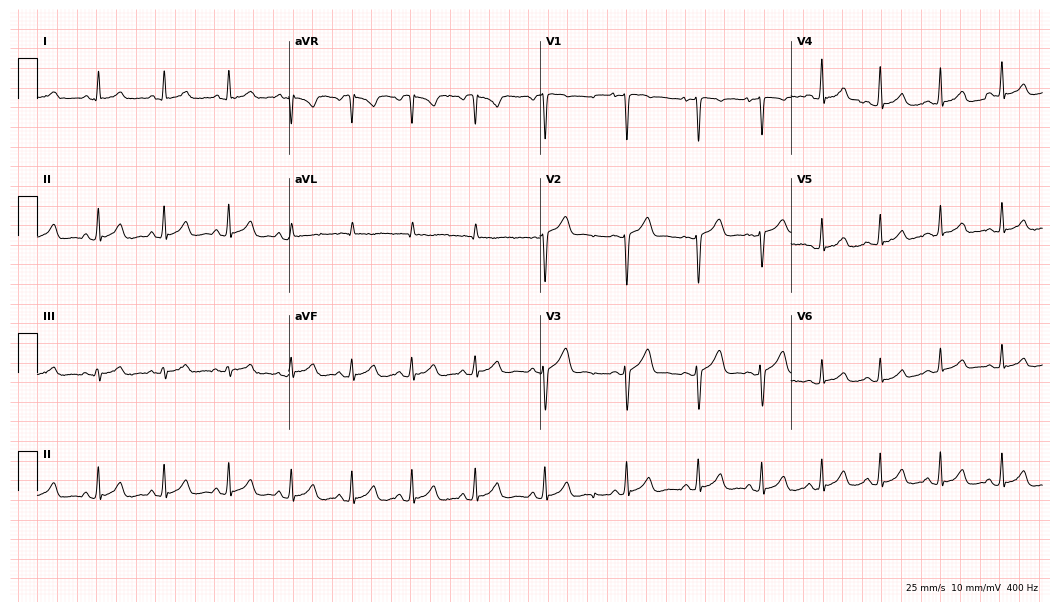
Resting 12-lead electrocardiogram. Patient: a female, 20 years old. Read as a normal ECG.